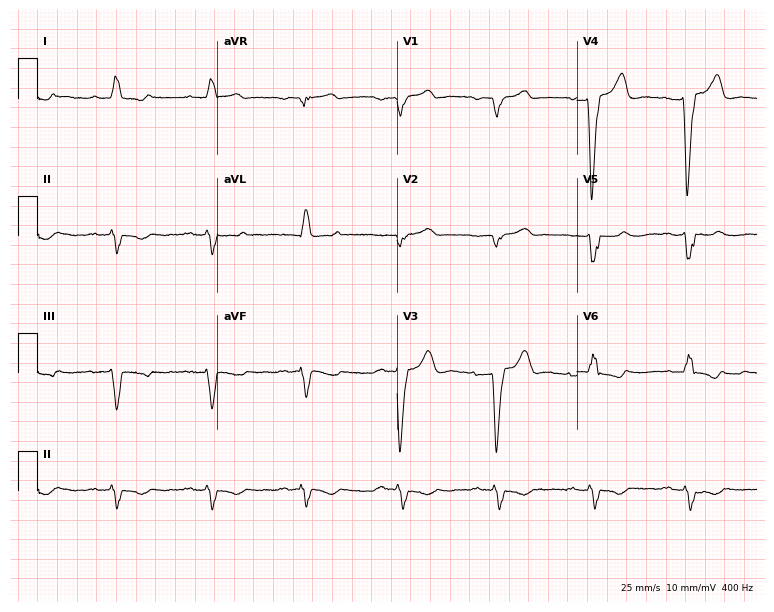
Electrocardiogram, a 58-year-old female patient. Interpretation includes first-degree AV block, left bundle branch block (LBBB).